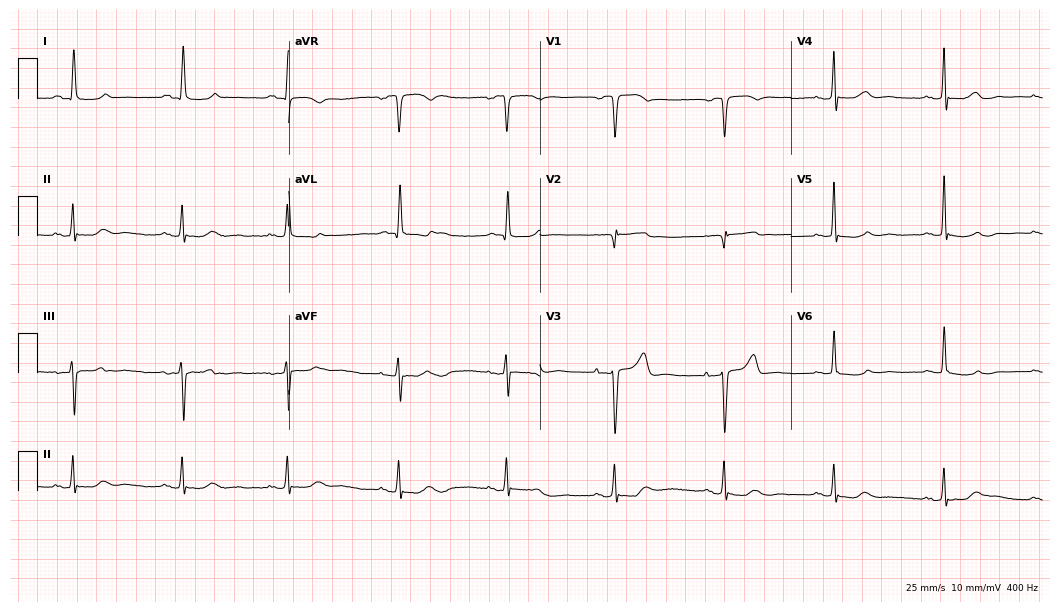
Resting 12-lead electrocardiogram (10.2-second recording at 400 Hz). Patient: a woman, 85 years old. None of these six findings is recorded: first-degree AV block, right bundle branch block, left bundle branch block, sinus bradycardia, atrial fibrillation, sinus tachycardia. Only these six findings were labelled.